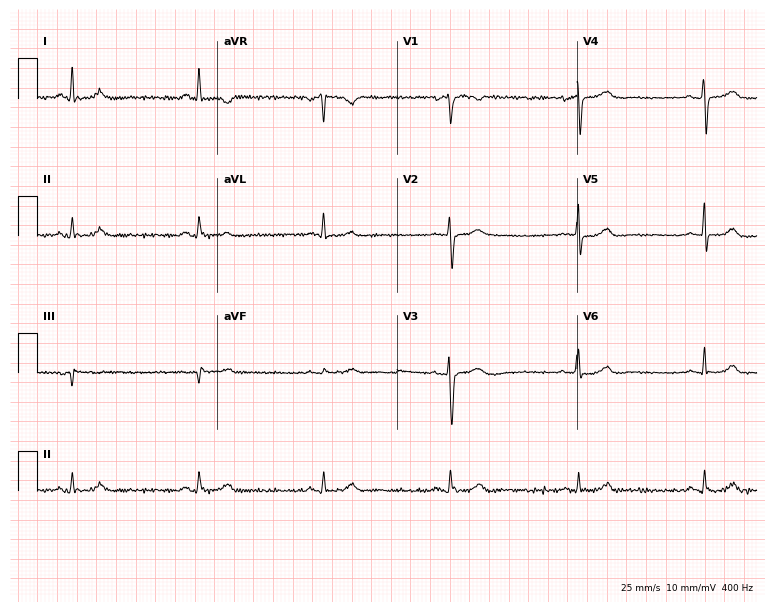
12-lead ECG from a man, 60 years old (7.3-second recording at 400 Hz). Shows sinus bradycardia (a sinus rate of 50 beats per minute or less).